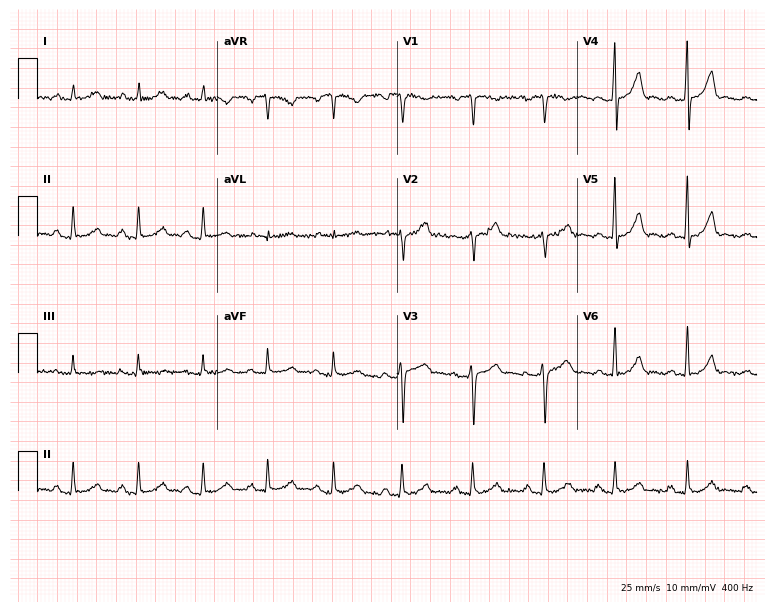
Resting 12-lead electrocardiogram (7.3-second recording at 400 Hz). Patient: a female, 46 years old. Read as a normal ECG.